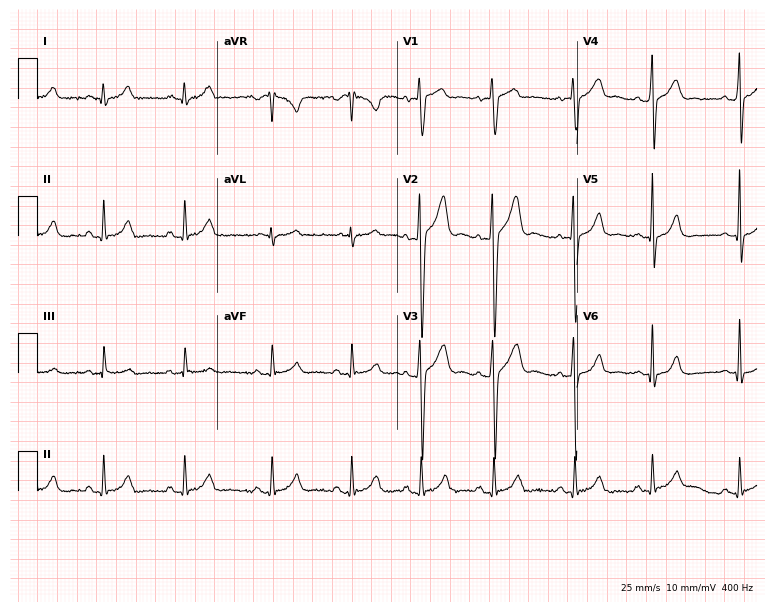
Resting 12-lead electrocardiogram. Patient: a man, 19 years old. Read as a normal ECG.